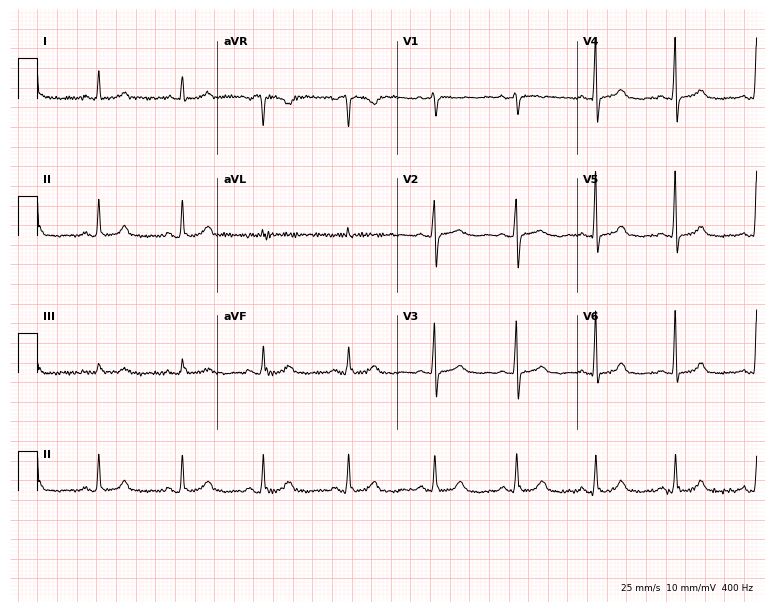
ECG (7.3-second recording at 400 Hz) — a 57-year-old female patient. Labelled as a normal ECG.